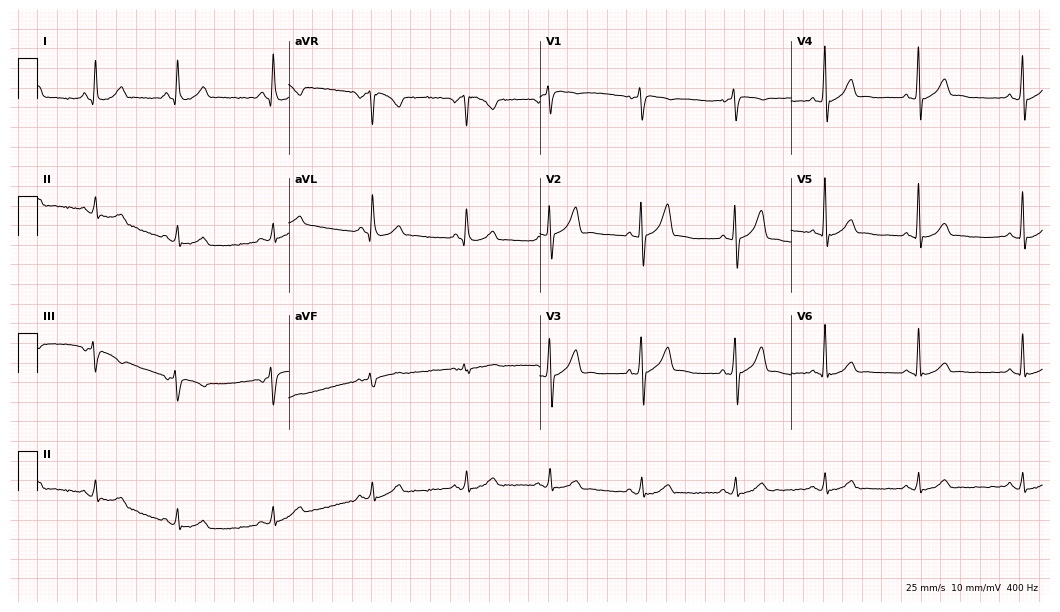
ECG — a 36-year-old man. Labelled as a normal ECG.